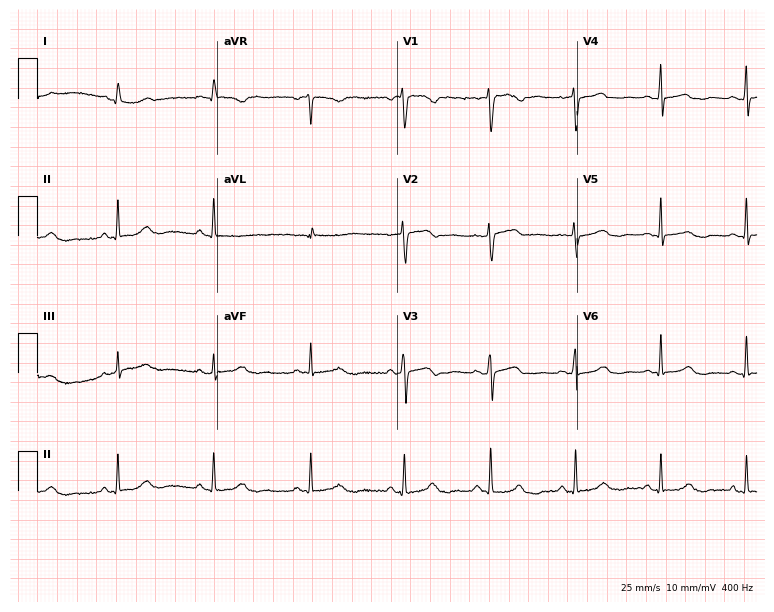
Standard 12-lead ECG recorded from a female, 54 years old. Read as a normal ECG.